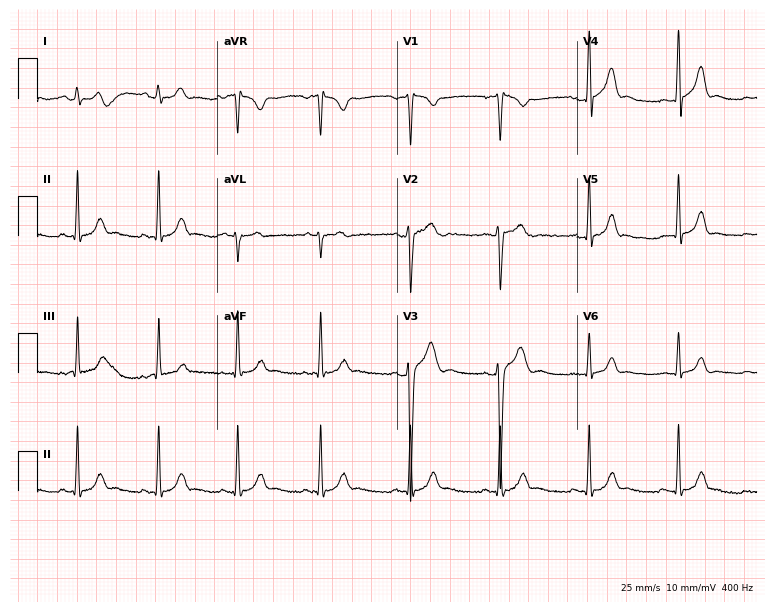
12-lead ECG from a man, 20 years old. Recorded interpretation: within normal limits.